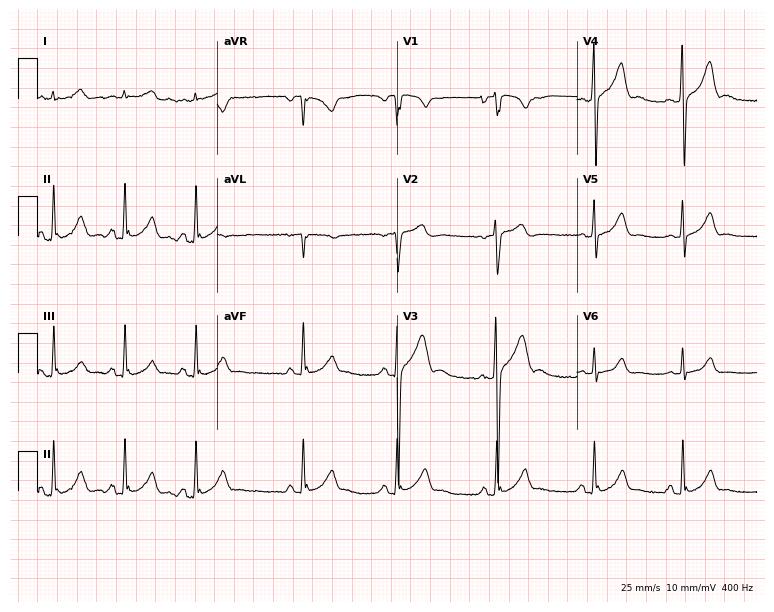
Resting 12-lead electrocardiogram (7.3-second recording at 400 Hz). Patient: an 18-year-old male. Read as a normal ECG.